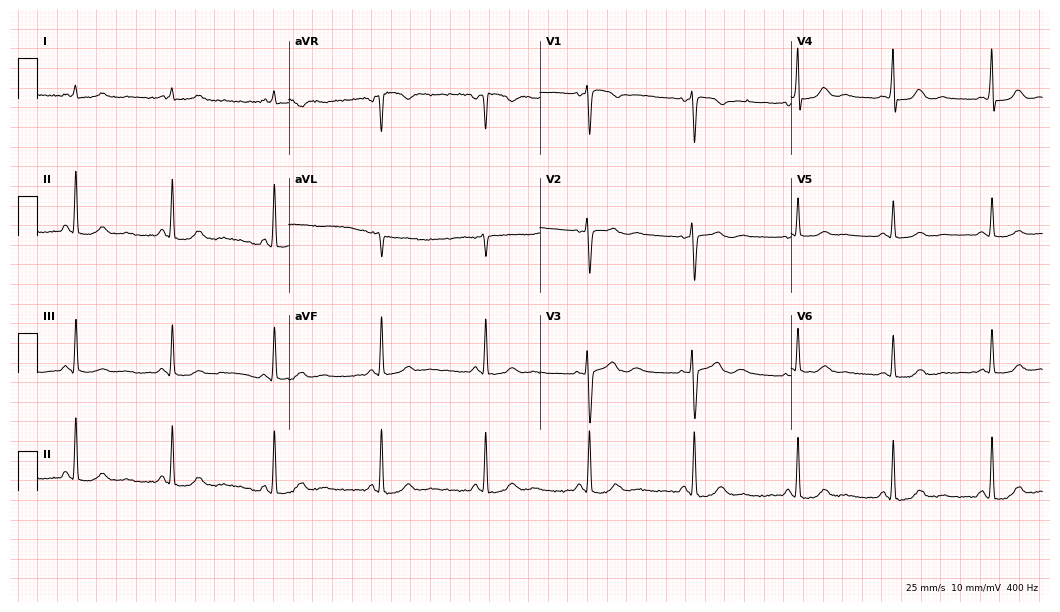
12-lead ECG from a woman, 33 years old (10.2-second recording at 400 Hz). No first-degree AV block, right bundle branch block (RBBB), left bundle branch block (LBBB), sinus bradycardia, atrial fibrillation (AF) or sinus tachycardia recorded for this tracing.